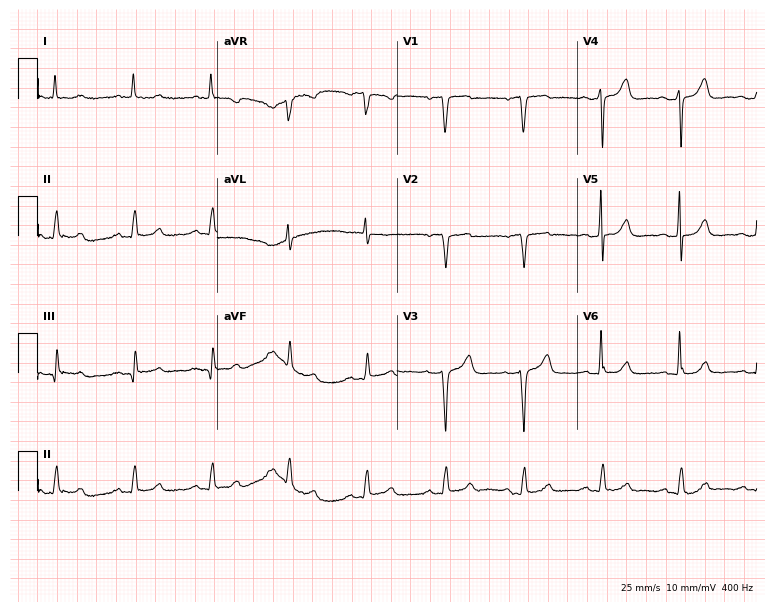
Resting 12-lead electrocardiogram. Patient: a 67-year-old male. None of these six findings is recorded: first-degree AV block, right bundle branch block, left bundle branch block, sinus bradycardia, atrial fibrillation, sinus tachycardia.